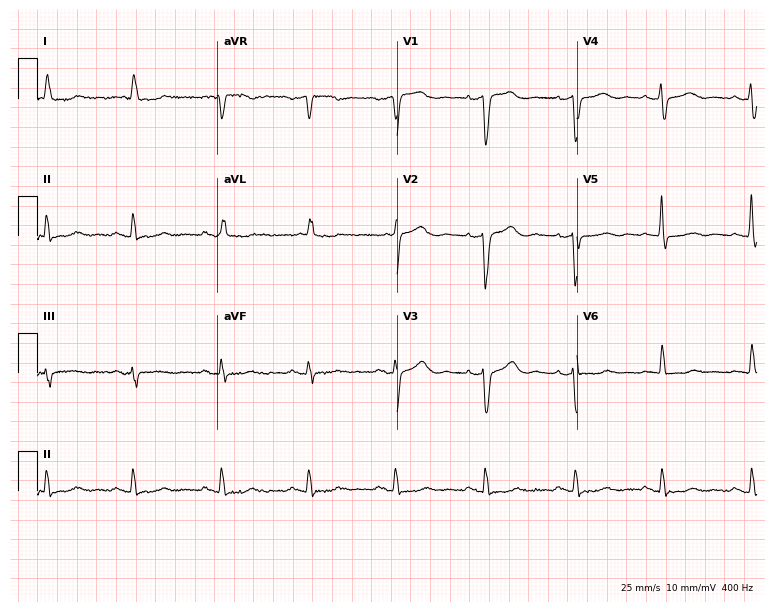
Electrocardiogram, a female, 82 years old. Of the six screened findings (first-degree AV block, right bundle branch block, left bundle branch block, sinus bradycardia, atrial fibrillation, sinus tachycardia), none is recorded.